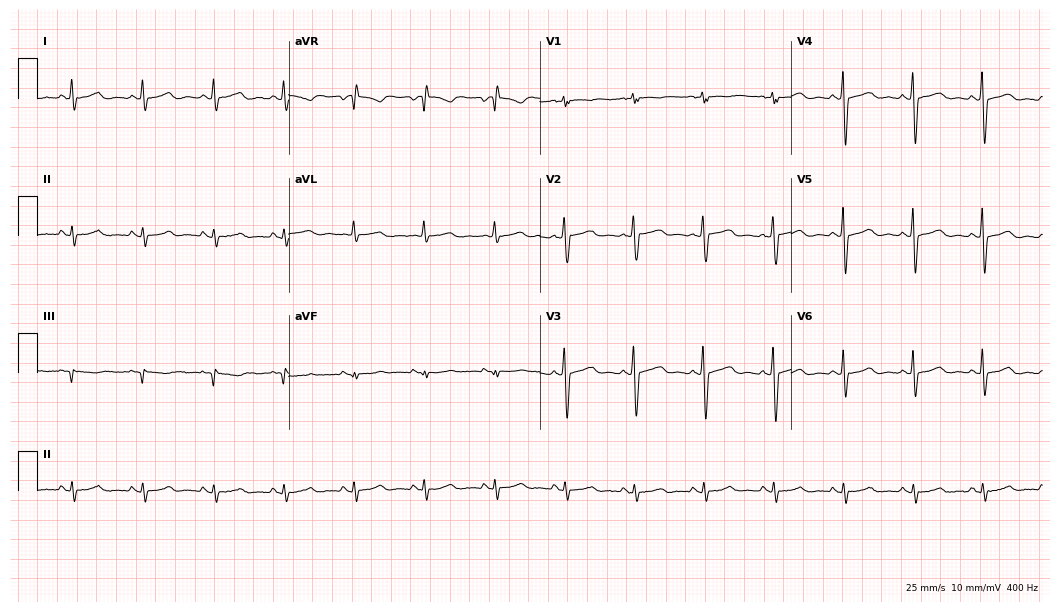
Resting 12-lead electrocardiogram. Patient: a female, 55 years old. Read as a normal ECG.